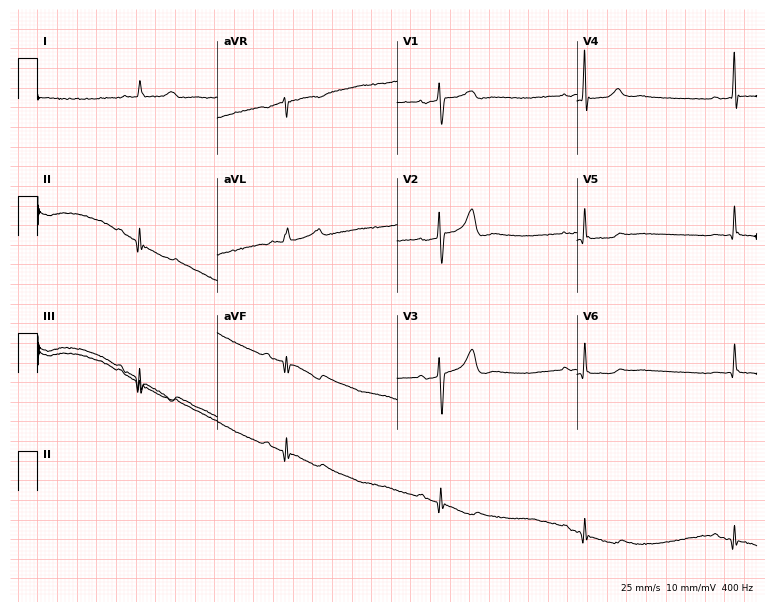
12-lead ECG (7.3-second recording at 400 Hz) from a 66-year-old man. Screened for six findings — first-degree AV block, right bundle branch block (RBBB), left bundle branch block (LBBB), sinus bradycardia, atrial fibrillation (AF), sinus tachycardia — none is recorded.